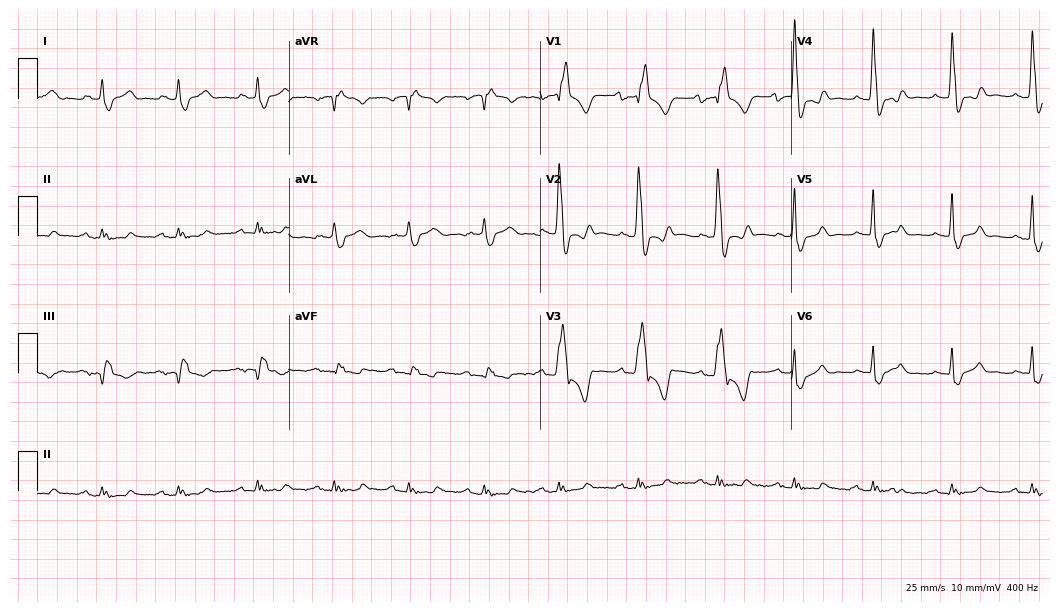
12-lead ECG from a 67-year-old male. Findings include right bundle branch block.